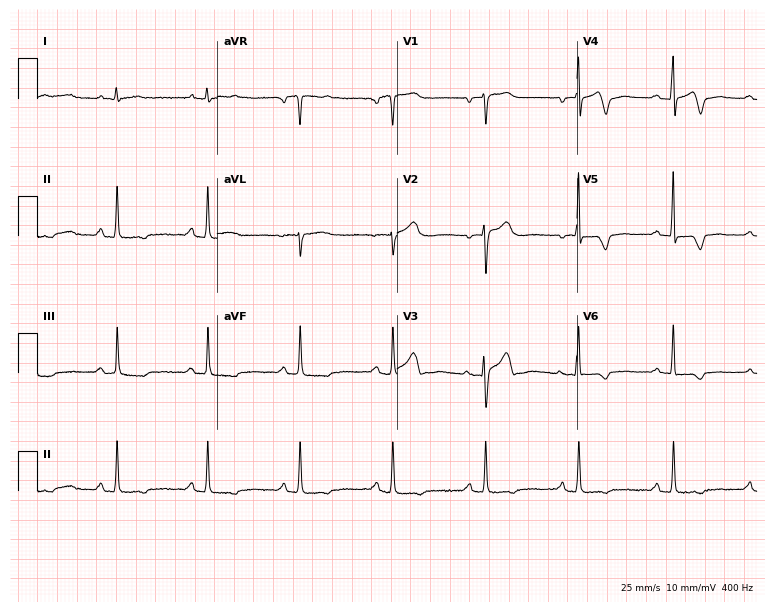
12-lead ECG from a 59-year-old female. No first-degree AV block, right bundle branch block, left bundle branch block, sinus bradycardia, atrial fibrillation or sinus tachycardia recorded for this tracing. Findings outside these six are not listed.